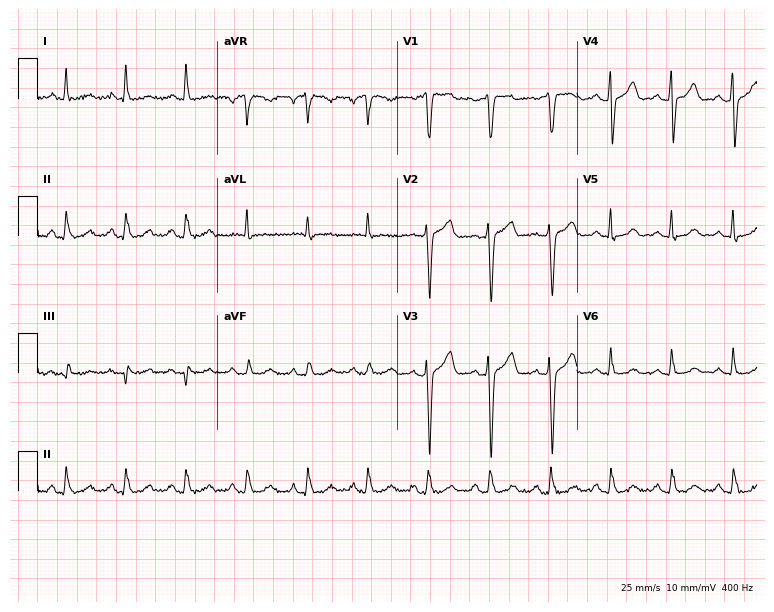
Standard 12-lead ECG recorded from a 50-year-old male patient (7.3-second recording at 400 Hz). Read as a normal ECG.